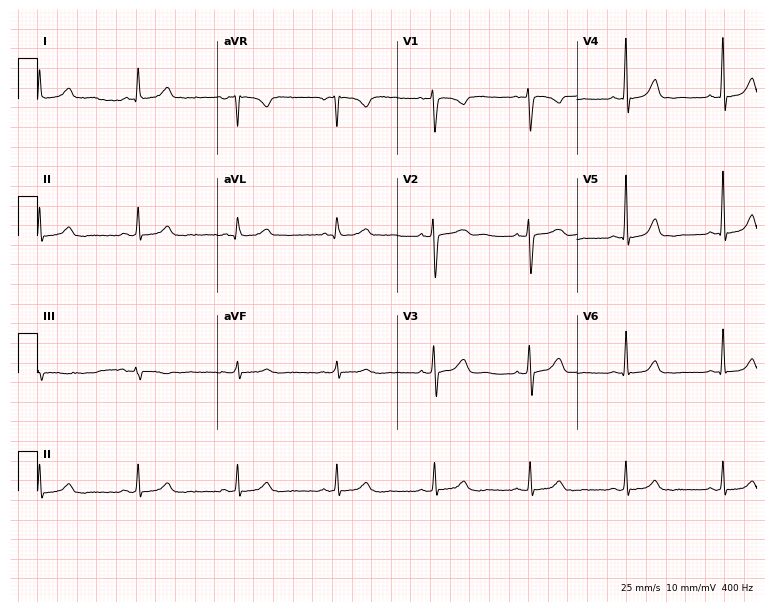
12-lead ECG (7.3-second recording at 400 Hz) from a 45-year-old female patient. Screened for six findings — first-degree AV block, right bundle branch block, left bundle branch block, sinus bradycardia, atrial fibrillation, sinus tachycardia — none is recorded.